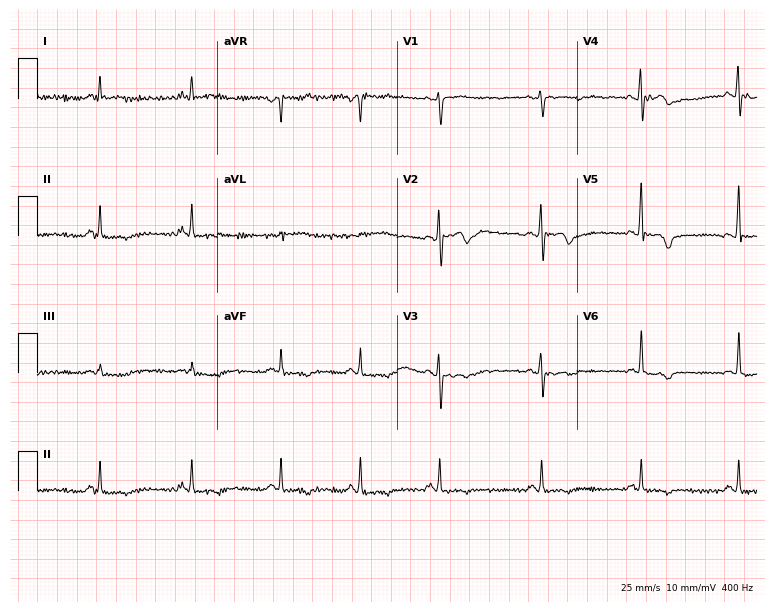
12-lead ECG from a male, 49 years old. No first-degree AV block, right bundle branch block, left bundle branch block, sinus bradycardia, atrial fibrillation or sinus tachycardia recorded for this tracing.